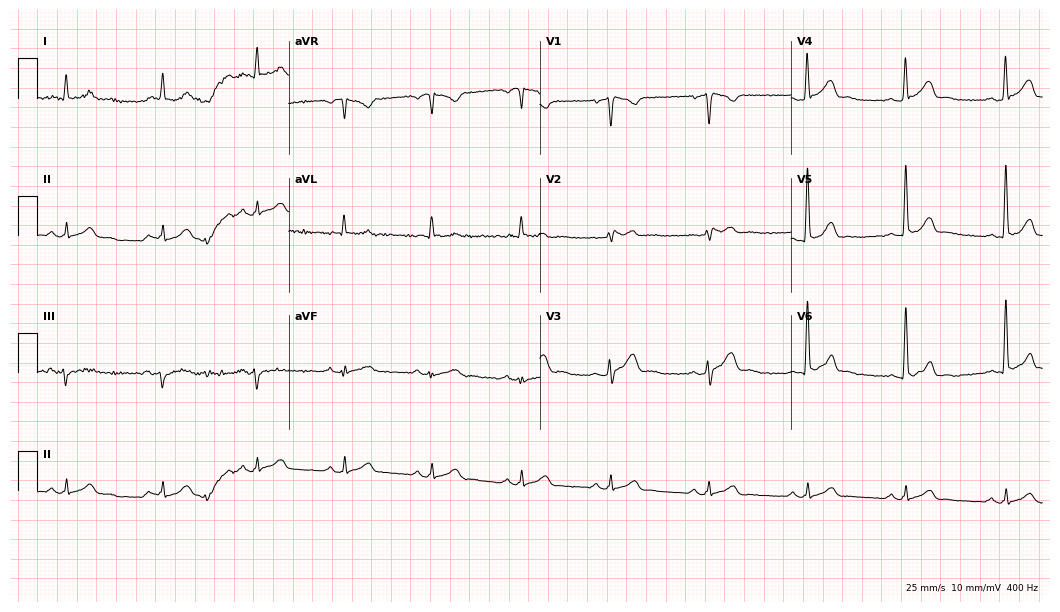
ECG (10.2-second recording at 400 Hz) — a 32-year-old male patient. Screened for six findings — first-degree AV block, right bundle branch block, left bundle branch block, sinus bradycardia, atrial fibrillation, sinus tachycardia — none is recorded. Only these six findings were labelled.